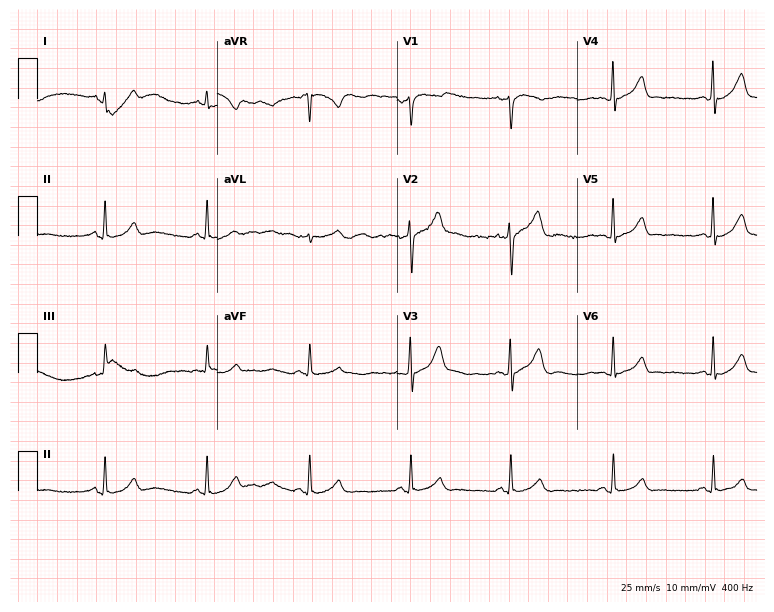
Resting 12-lead electrocardiogram (7.3-second recording at 400 Hz). Patient: a male, 59 years old. Read as a normal ECG.